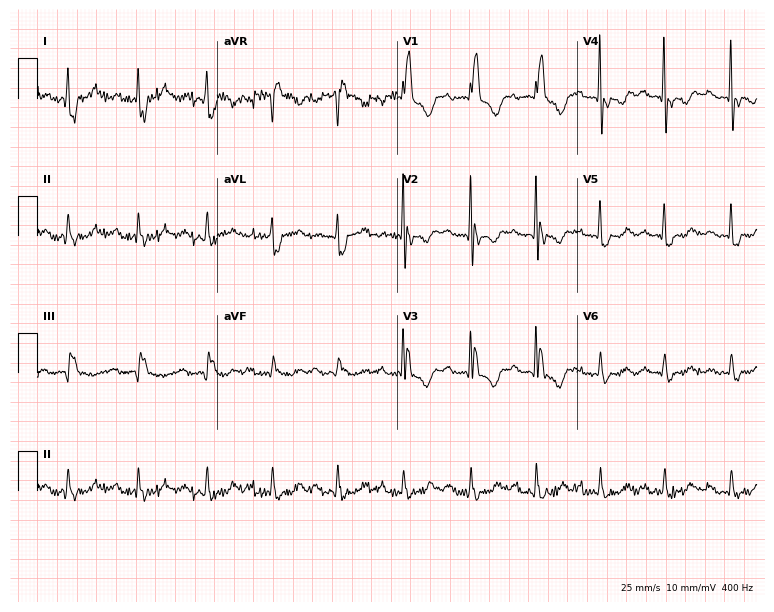
Electrocardiogram (7.3-second recording at 400 Hz), a female, 72 years old. Interpretation includes first-degree AV block, right bundle branch block.